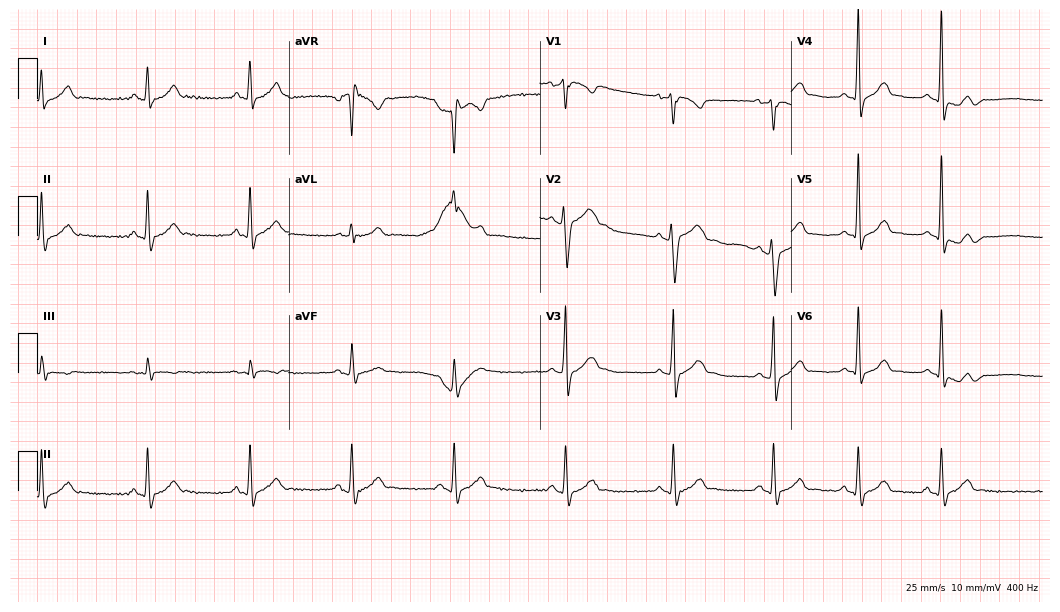
Electrocardiogram (10.2-second recording at 400 Hz), a male patient, 23 years old. Of the six screened findings (first-degree AV block, right bundle branch block (RBBB), left bundle branch block (LBBB), sinus bradycardia, atrial fibrillation (AF), sinus tachycardia), none is recorded. Other findings, if any, are not listed.